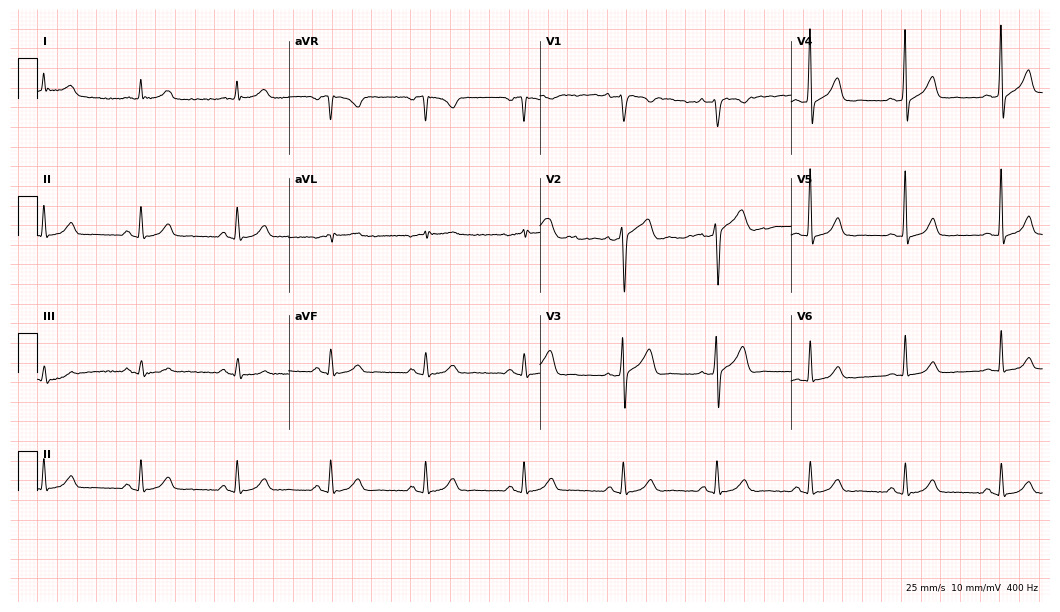
12-lead ECG (10.2-second recording at 400 Hz) from a 57-year-old male patient. Screened for six findings — first-degree AV block, right bundle branch block, left bundle branch block, sinus bradycardia, atrial fibrillation, sinus tachycardia — none is recorded. Other findings, if any, are not listed.